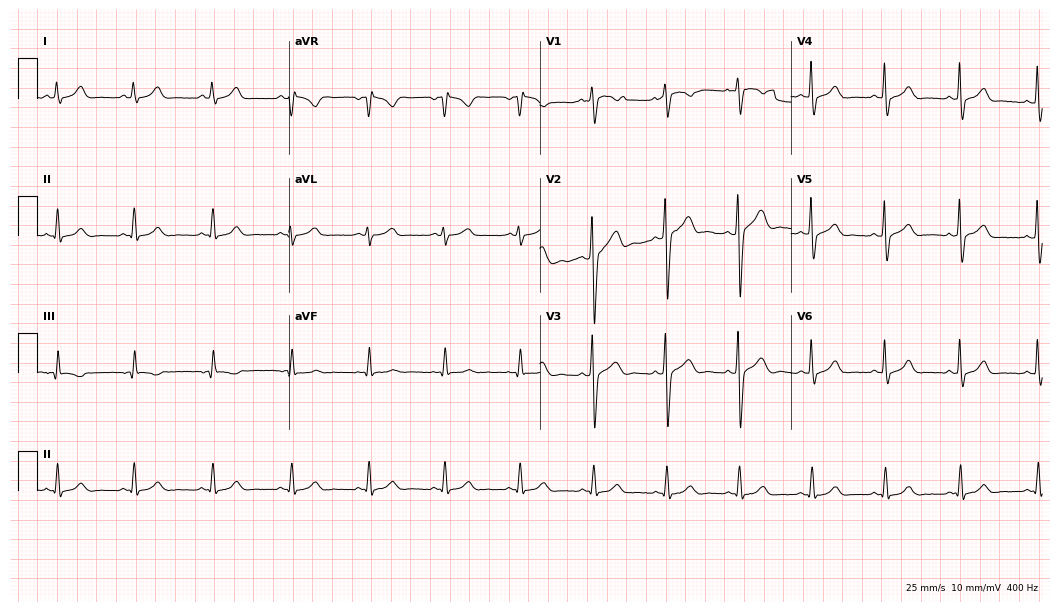
Electrocardiogram (10.2-second recording at 400 Hz), a 30-year-old male patient. Of the six screened findings (first-degree AV block, right bundle branch block, left bundle branch block, sinus bradycardia, atrial fibrillation, sinus tachycardia), none is recorded. Findings outside these six are not listed.